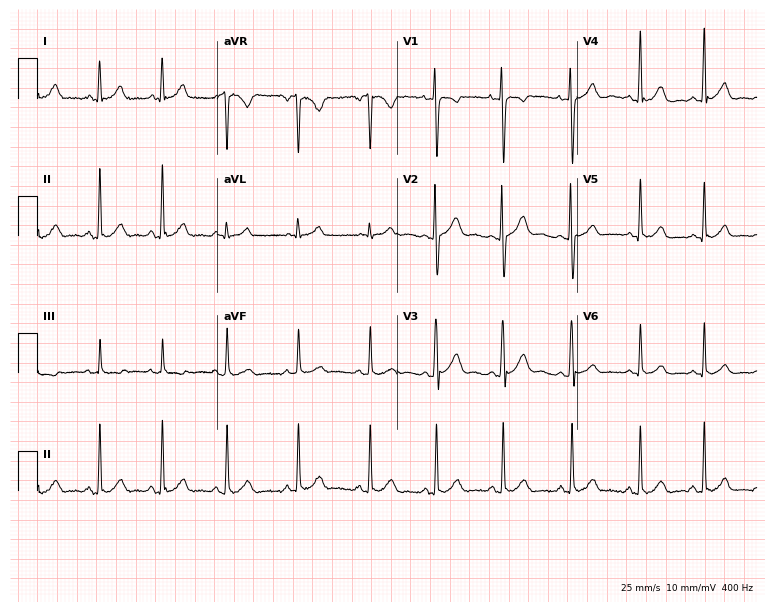
12-lead ECG from a 23-year-old woman (7.3-second recording at 400 Hz). Recorded interpretation: within normal limits.